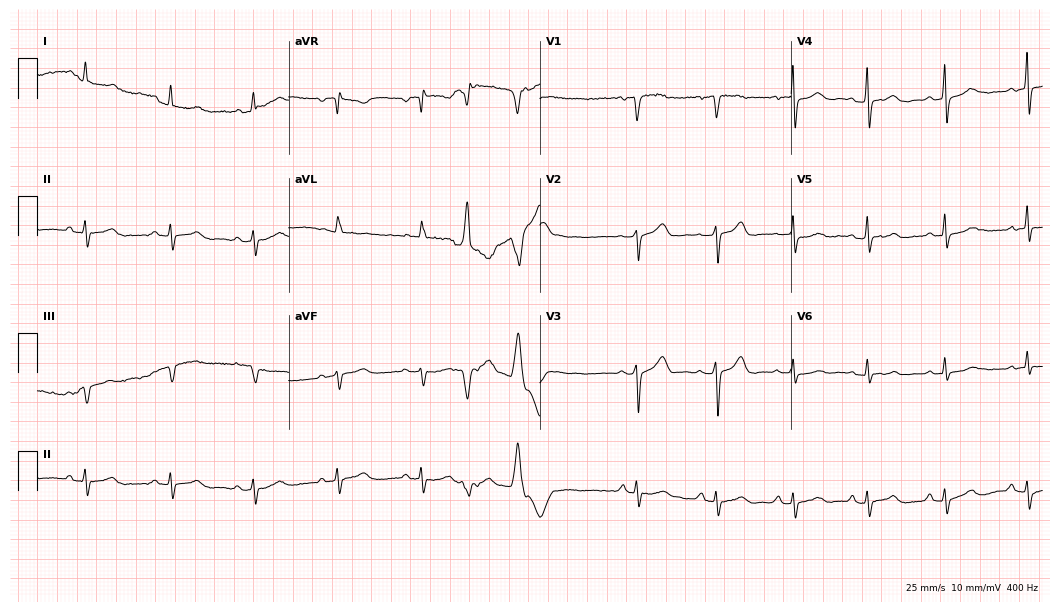
12-lead ECG (10.2-second recording at 400 Hz) from a woman, 64 years old. Screened for six findings — first-degree AV block, right bundle branch block (RBBB), left bundle branch block (LBBB), sinus bradycardia, atrial fibrillation (AF), sinus tachycardia — none is recorded.